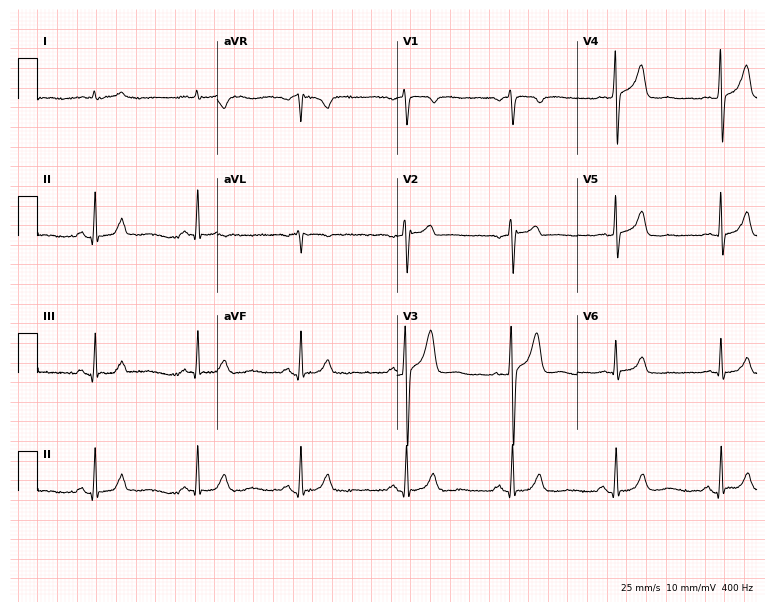
ECG — a 62-year-old man. Labelled as a normal ECG.